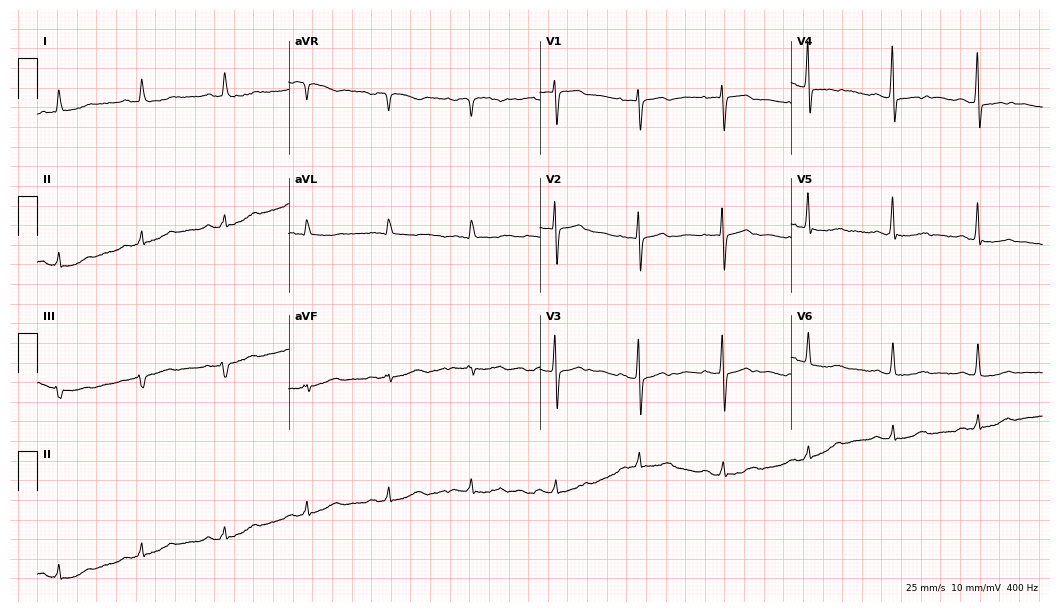
Standard 12-lead ECG recorded from a female, 80 years old. None of these six findings is recorded: first-degree AV block, right bundle branch block, left bundle branch block, sinus bradycardia, atrial fibrillation, sinus tachycardia. Other findings, if any, are not listed.